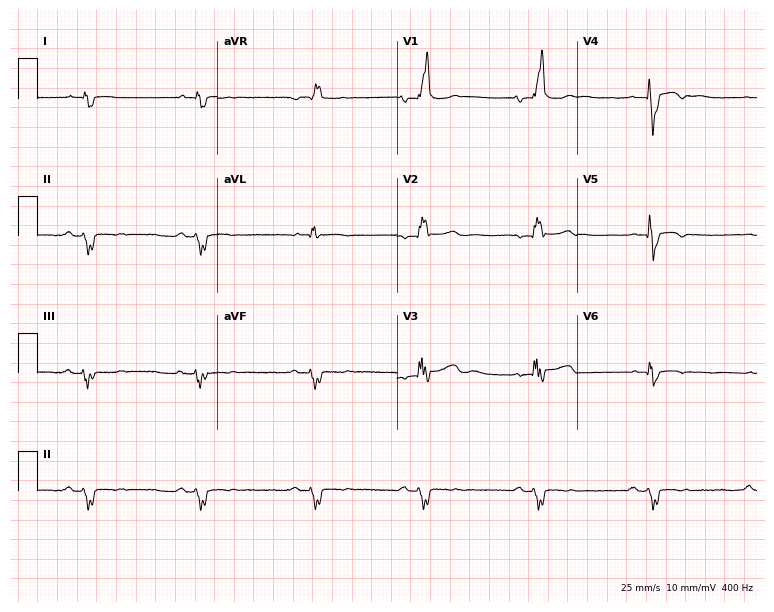
Standard 12-lead ECG recorded from a 65-year-old man. The tracing shows right bundle branch block (RBBB).